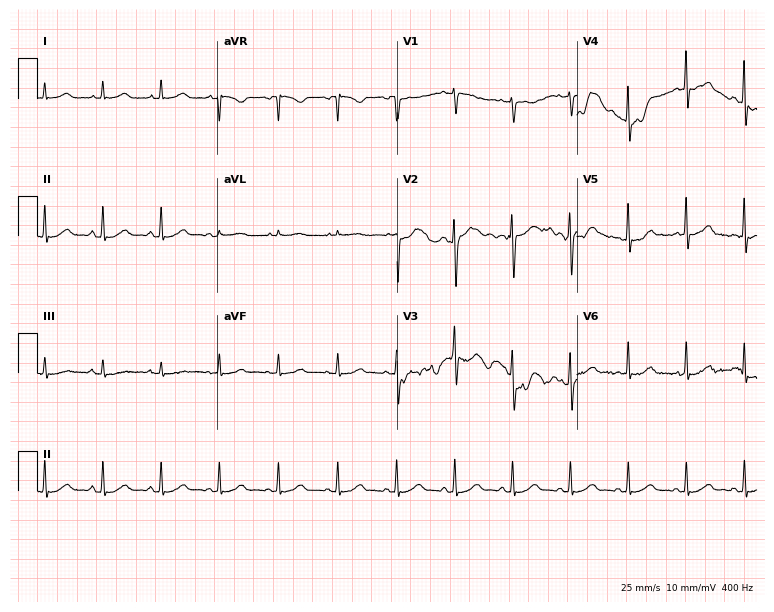
ECG — a woman, 36 years old. Labelled as a normal ECG.